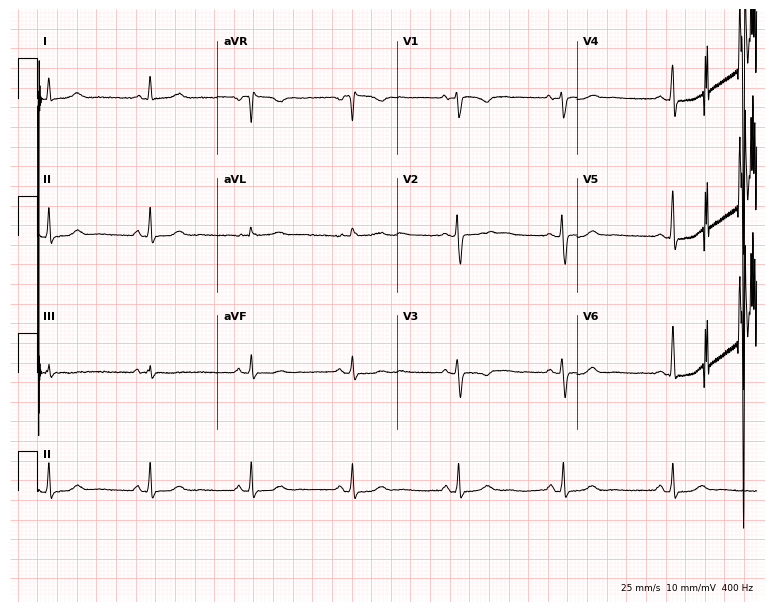
Standard 12-lead ECG recorded from a female patient, 40 years old. Read as a normal ECG.